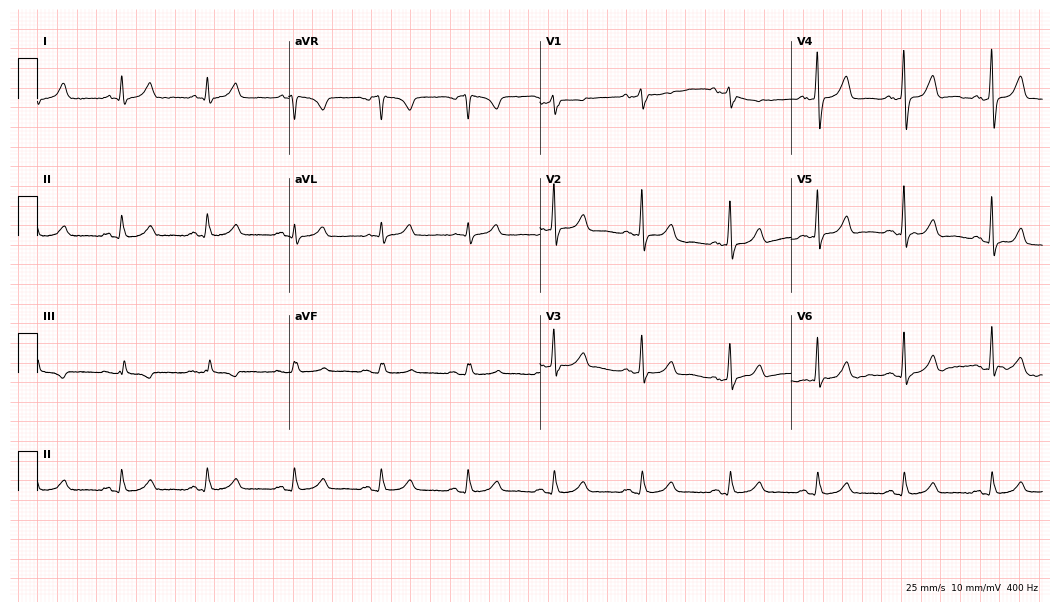
12-lead ECG from a 62-year-old male. Recorded interpretation: within normal limits.